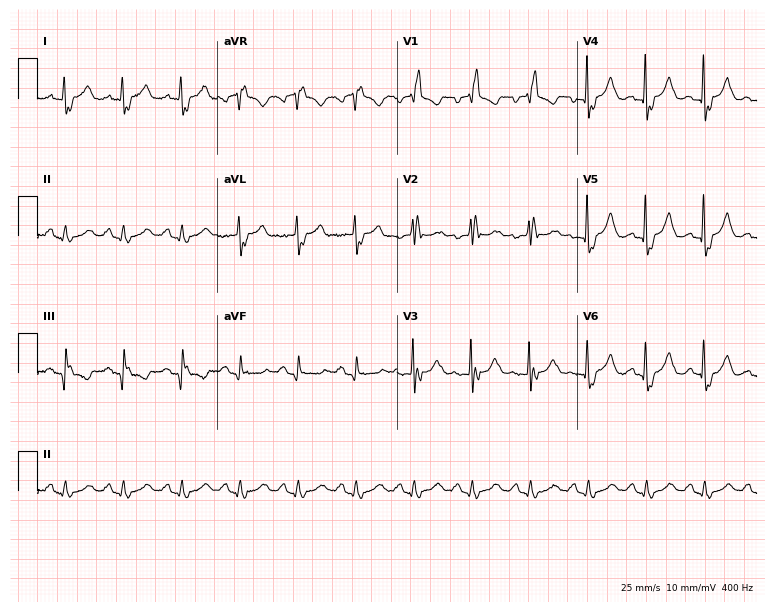
Resting 12-lead electrocardiogram. Patient: a 76-year-old woman. The tracing shows right bundle branch block.